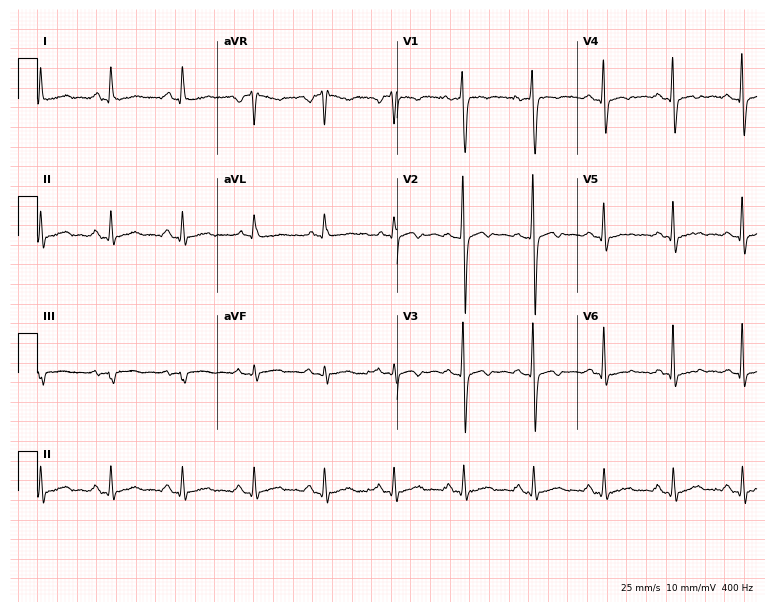
Resting 12-lead electrocardiogram. Patient: a 51-year-old man. Read as a normal ECG.